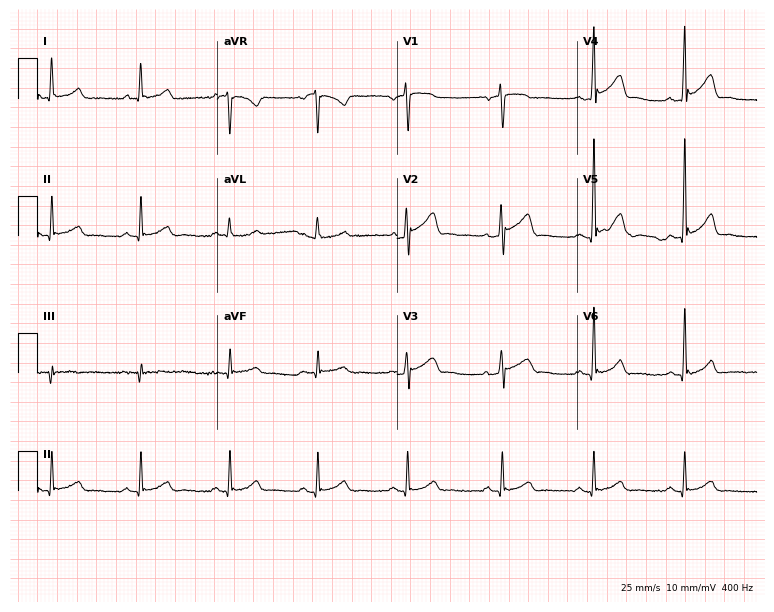
12-lead ECG from a man, 51 years old. No first-degree AV block, right bundle branch block (RBBB), left bundle branch block (LBBB), sinus bradycardia, atrial fibrillation (AF) or sinus tachycardia recorded for this tracing. Findings outside these six are not listed.